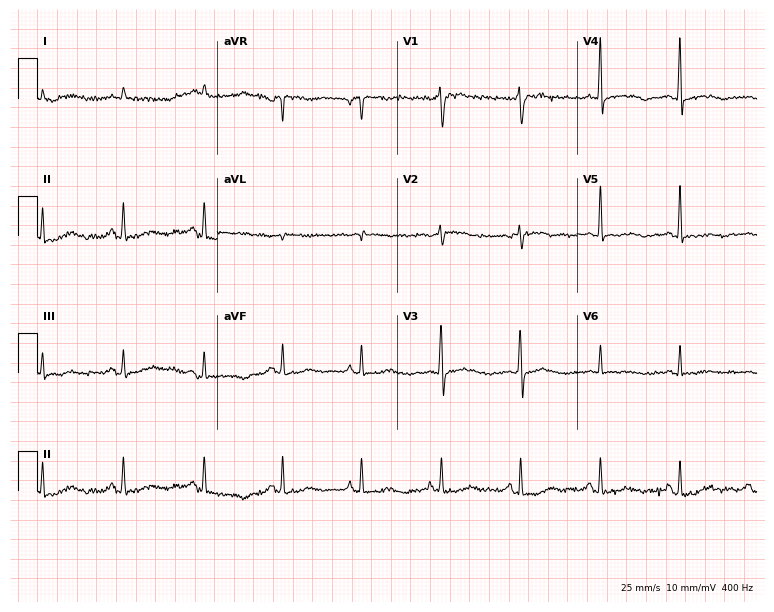
12-lead ECG from a 78-year-old male. No first-degree AV block, right bundle branch block (RBBB), left bundle branch block (LBBB), sinus bradycardia, atrial fibrillation (AF) or sinus tachycardia recorded for this tracing.